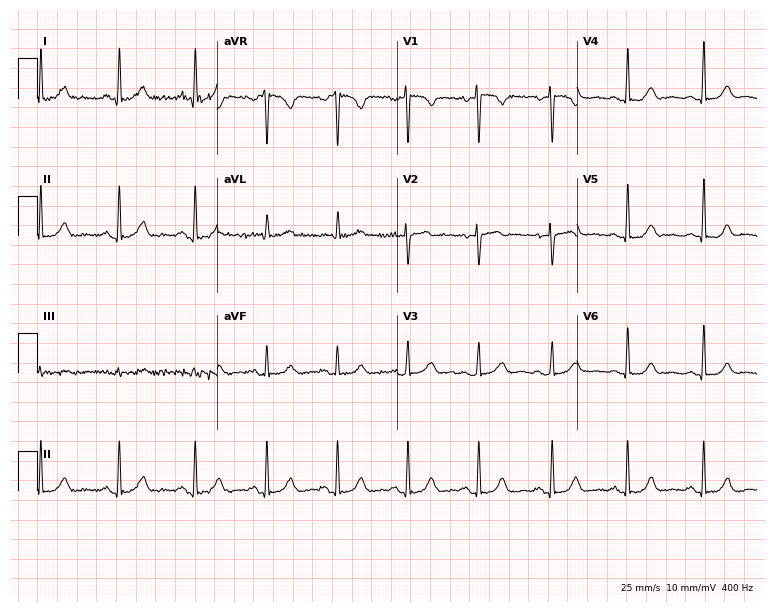
Standard 12-lead ECG recorded from a woman, 29 years old. Read as a normal ECG.